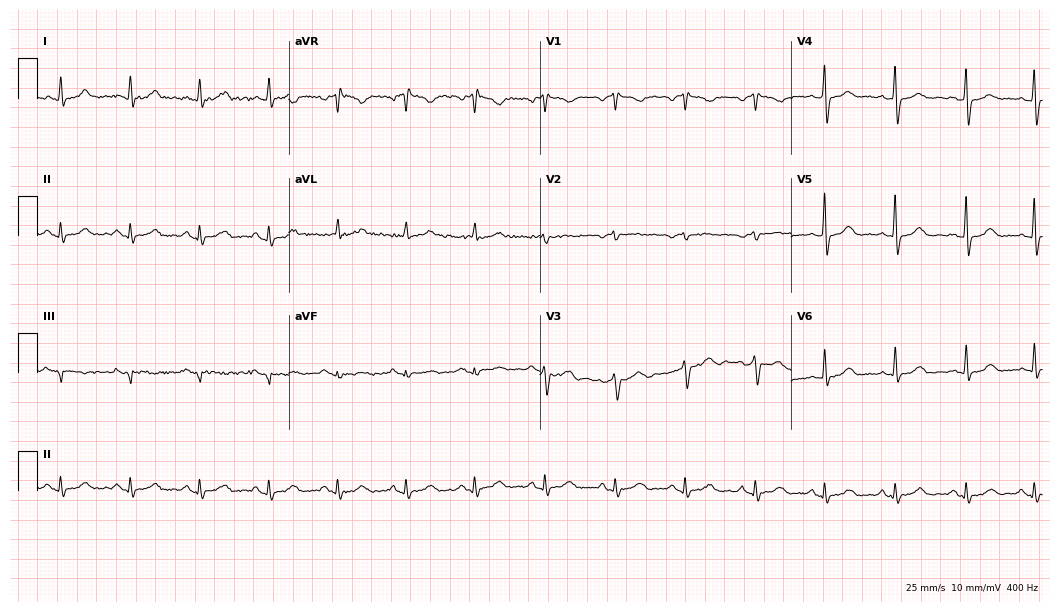
ECG (10.2-second recording at 400 Hz) — a male, 60 years old. Screened for six findings — first-degree AV block, right bundle branch block (RBBB), left bundle branch block (LBBB), sinus bradycardia, atrial fibrillation (AF), sinus tachycardia — none is recorded.